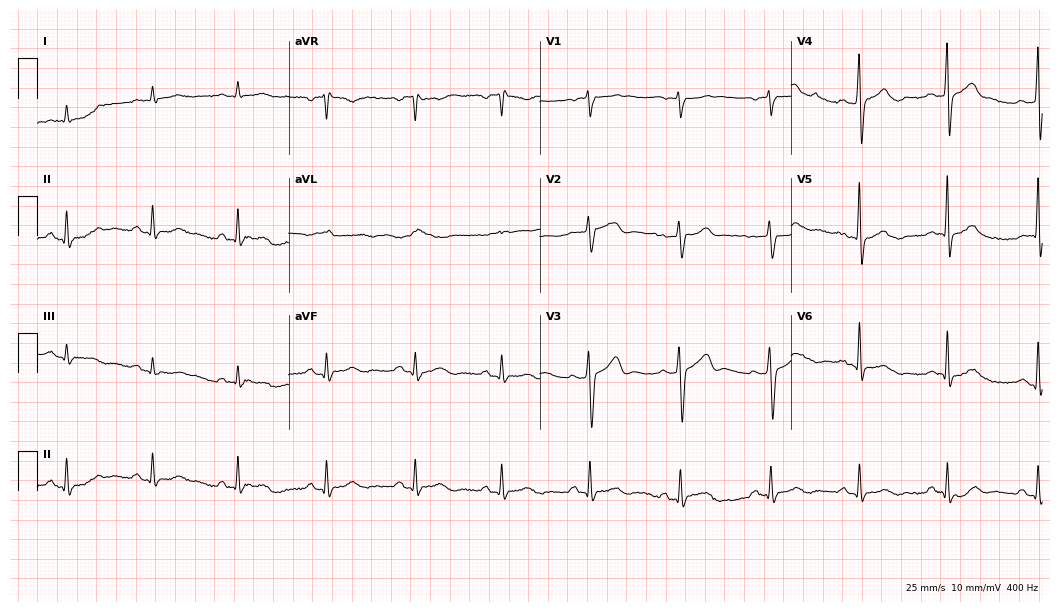
Resting 12-lead electrocardiogram. Patient: a male, 68 years old. Read as a normal ECG.